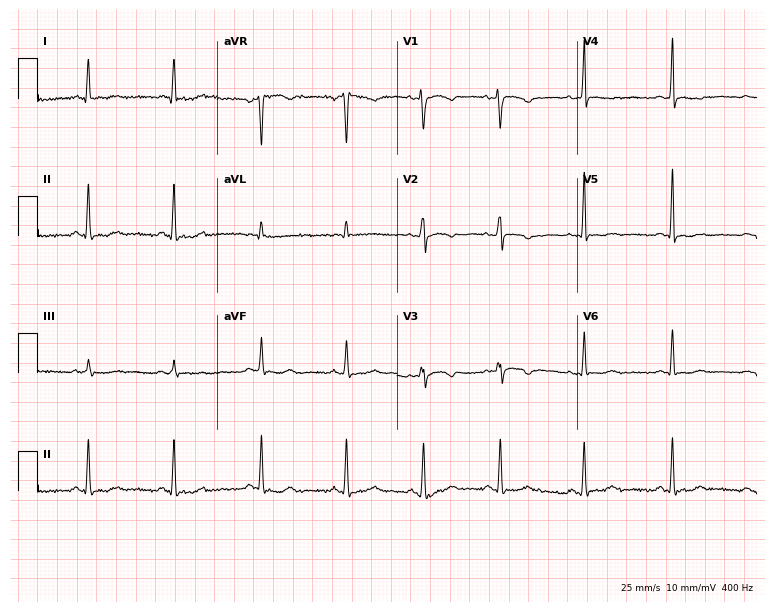
ECG (7.3-second recording at 400 Hz) — a female patient, 47 years old. Screened for six findings — first-degree AV block, right bundle branch block (RBBB), left bundle branch block (LBBB), sinus bradycardia, atrial fibrillation (AF), sinus tachycardia — none is recorded.